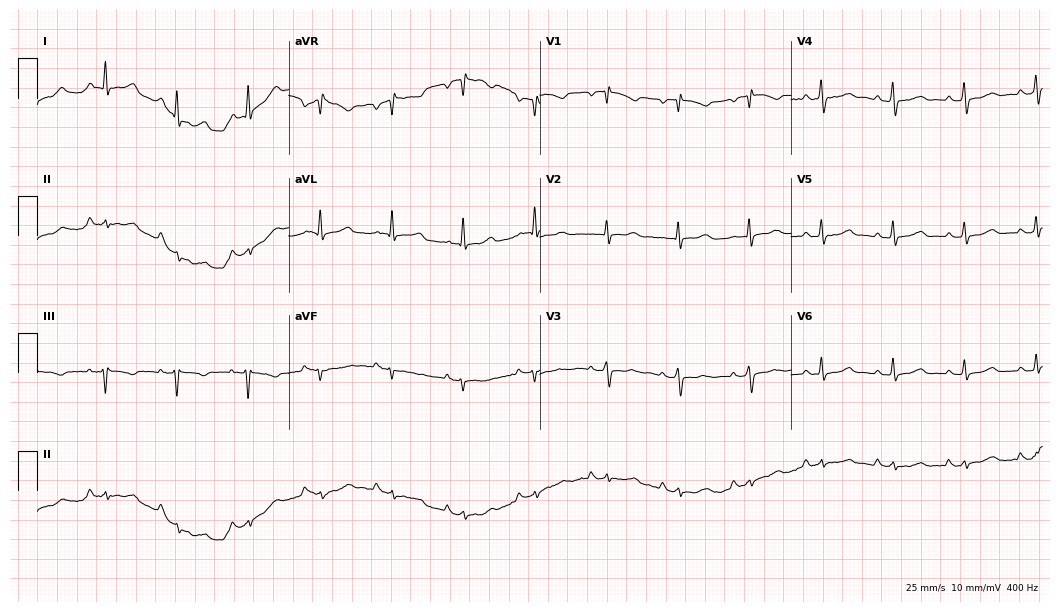
Standard 12-lead ECG recorded from a 66-year-old female. Read as a normal ECG.